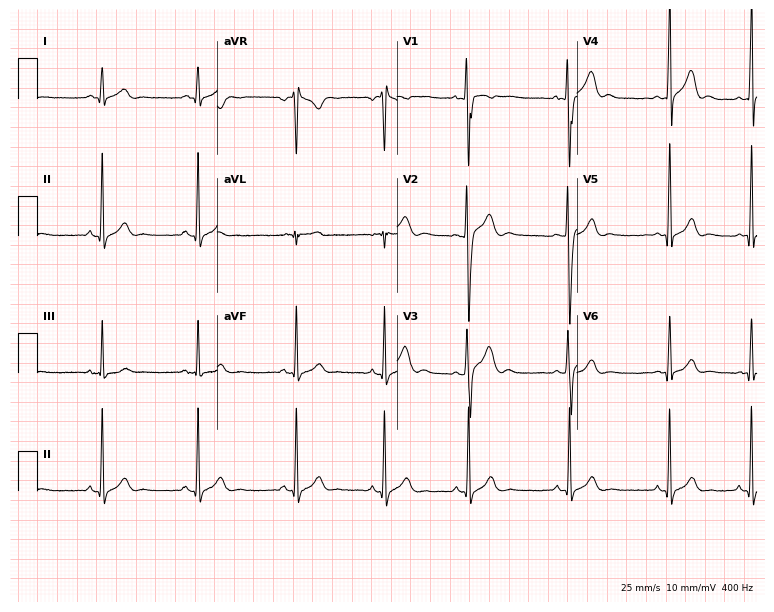
12-lead ECG from a man, 20 years old. Screened for six findings — first-degree AV block, right bundle branch block, left bundle branch block, sinus bradycardia, atrial fibrillation, sinus tachycardia — none is recorded. Only these six findings were labelled.